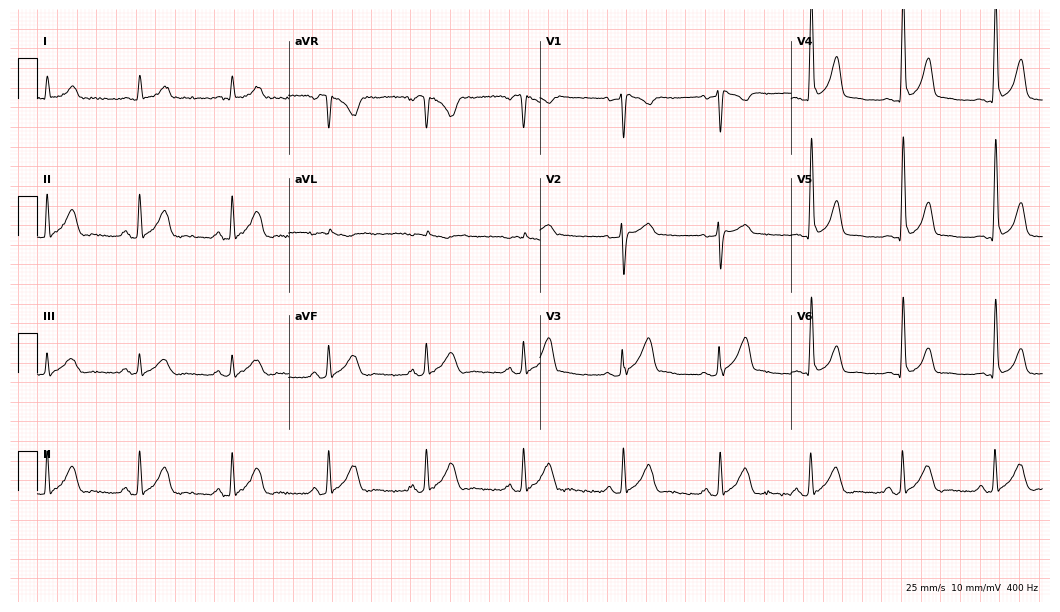
12-lead ECG (10.2-second recording at 400 Hz) from a man, 43 years old. Screened for six findings — first-degree AV block, right bundle branch block, left bundle branch block, sinus bradycardia, atrial fibrillation, sinus tachycardia — none is recorded. Only these six findings were labelled.